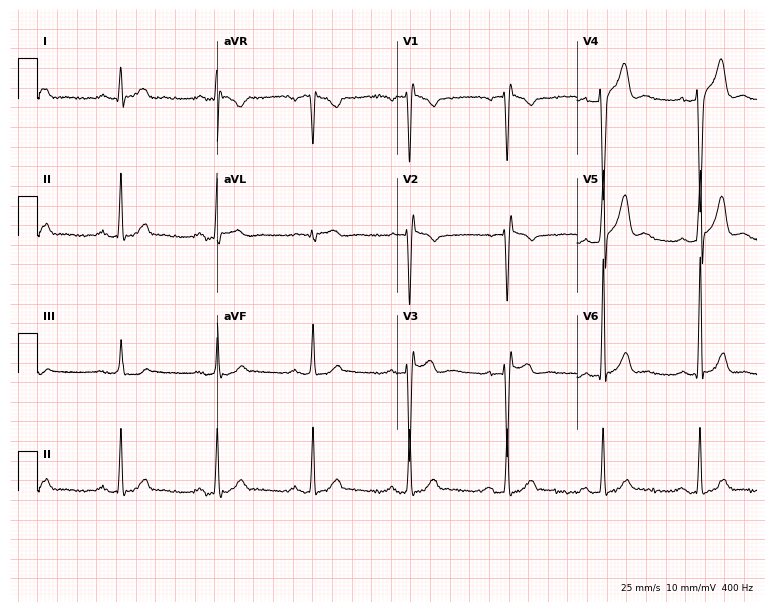
ECG — a male, 29 years old. Labelled as a normal ECG.